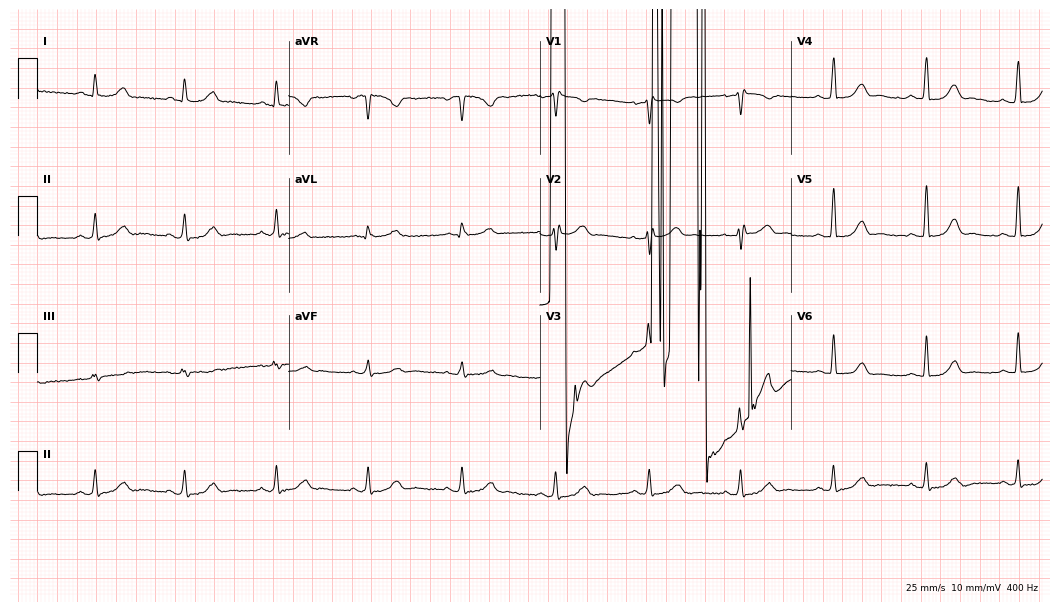
12-lead ECG from a female, 53 years old. No first-degree AV block, right bundle branch block, left bundle branch block, sinus bradycardia, atrial fibrillation or sinus tachycardia recorded for this tracing.